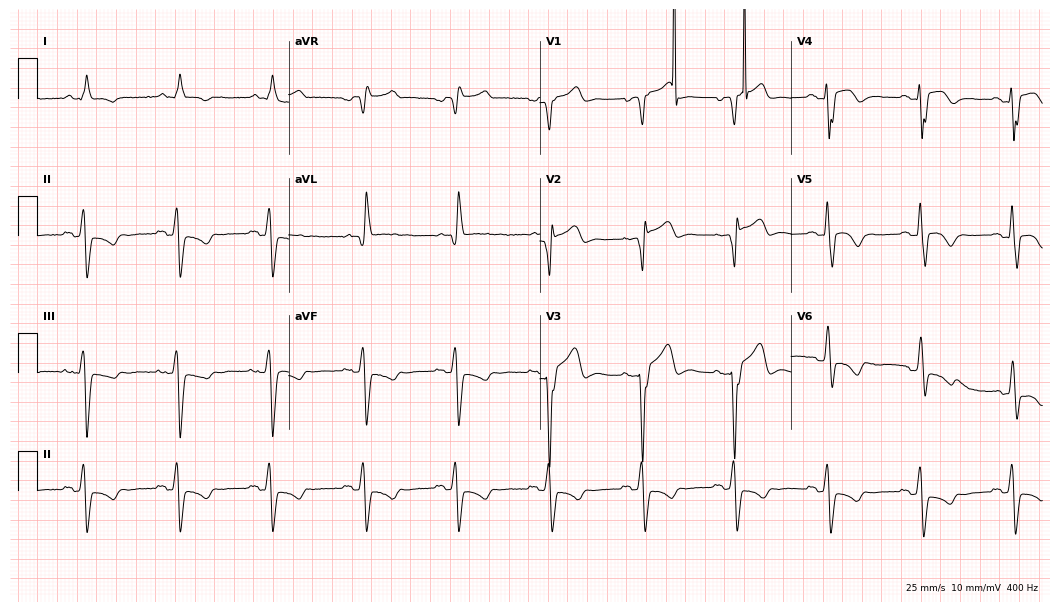
ECG (10.2-second recording at 400 Hz) — an 80-year-old man. Screened for six findings — first-degree AV block, right bundle branch block, left bundle branch block, sinus bradycardia, atrial fibrillation, sinus tachycardia — none is recorded.